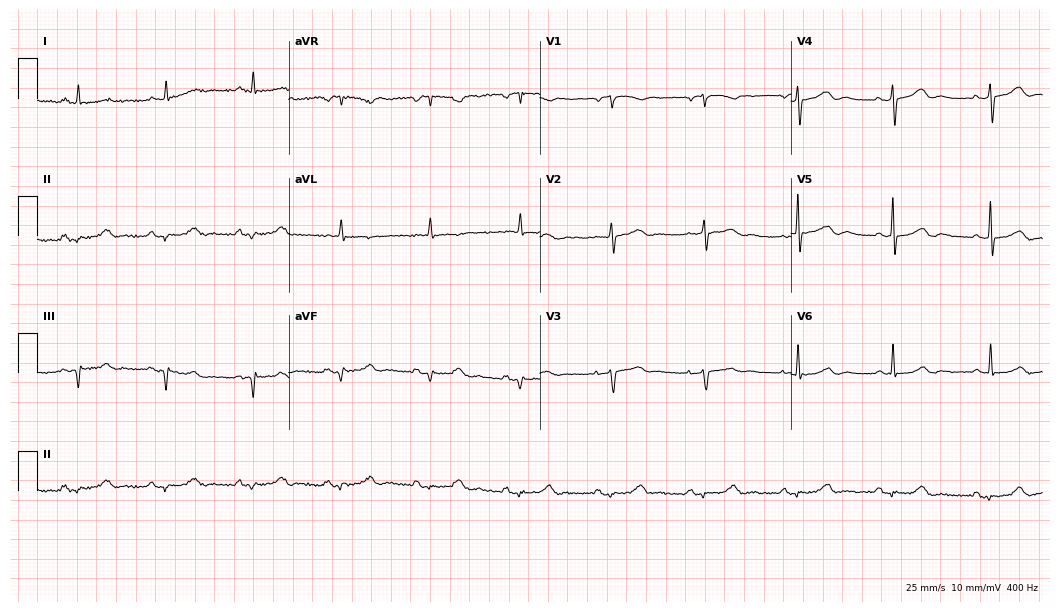
ECG (10.2-second recording at 400 Hz) — a female patient, 78 years old. Screened for six findings — first-degree AV block, right bundle branch block, left bundle branch block, sinus bradycardia, atrial fibrillation, sinus tachycardia — none is recorded. Findings outside these six are not listed.